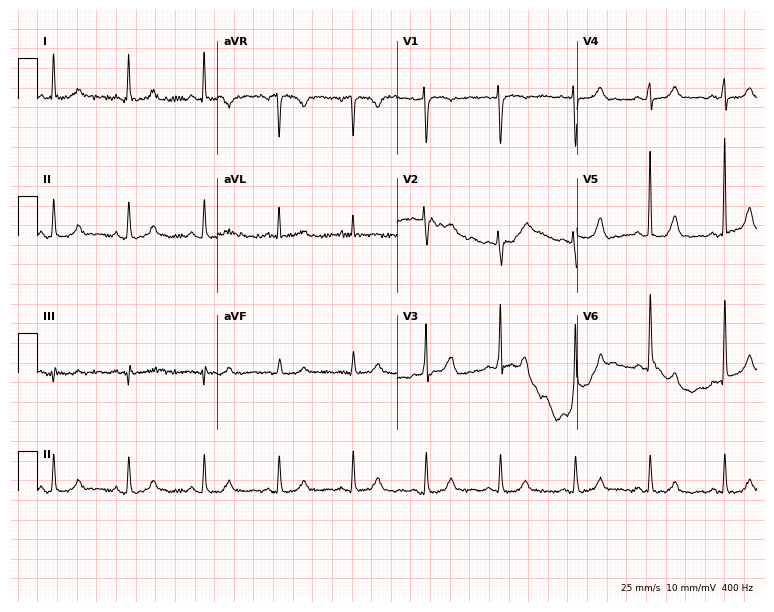
12-lead ECG from a 68-year-old female (7.3-second recording at 400 Hz). Recorded interpretation: within normal limits.